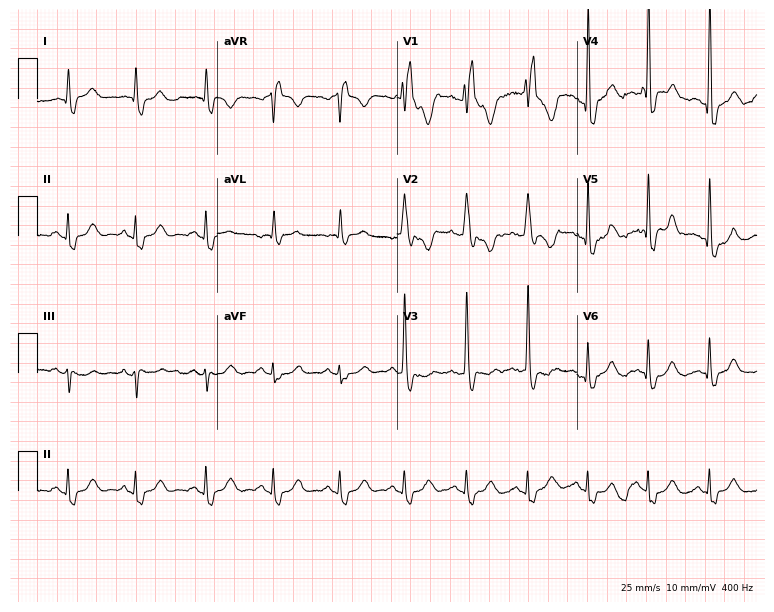
ECG — a 58-year-old male. Findings include right bundle branch block.